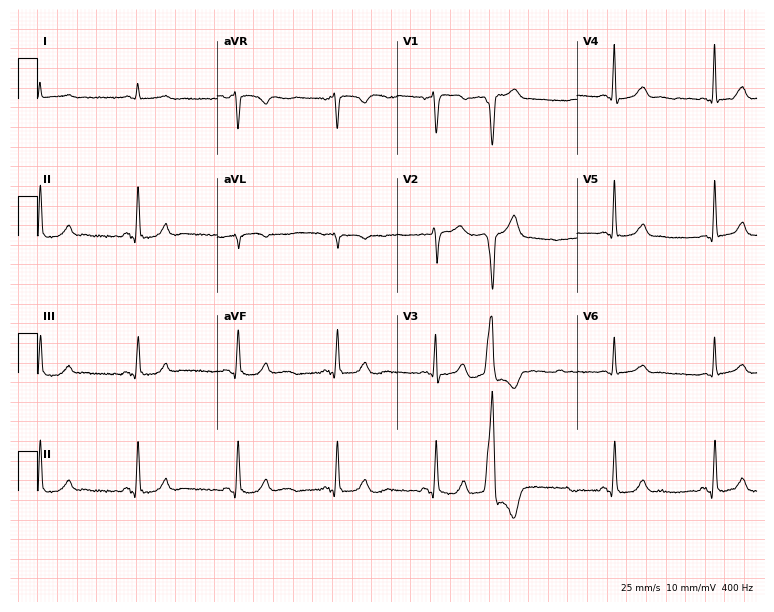
ECG (7.3-second recording at 400 Hz) — a 72-year-old male patient. Screened for six findings — first-degree AV block, right bundle branch block (RBBB), left bundle branch block (LBBB), sinus bradycardia, atrial fibrillation (AF), sinus tachycardia — none is recorded. Other findings, if any, are not listed.